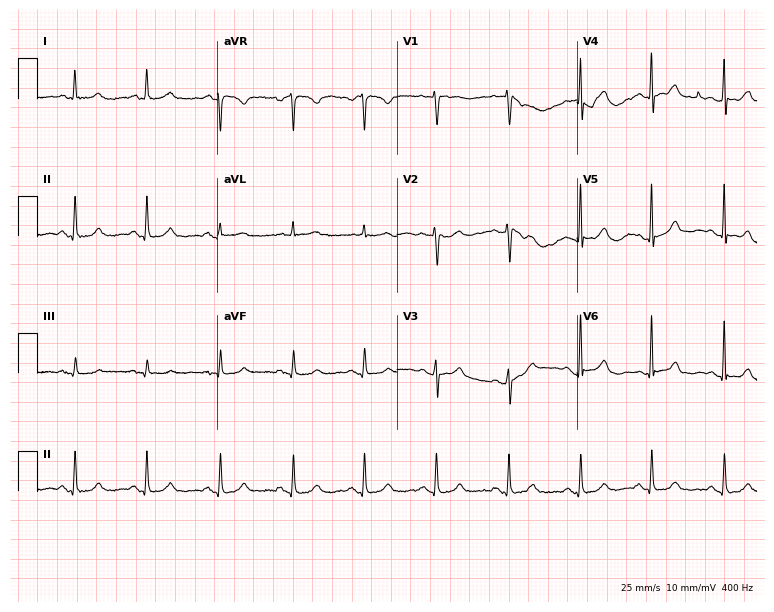
12-lead ECG (7.3-second recording at 400 Hz) from a female patient, 79 years old. Labelled as a normal ECG.